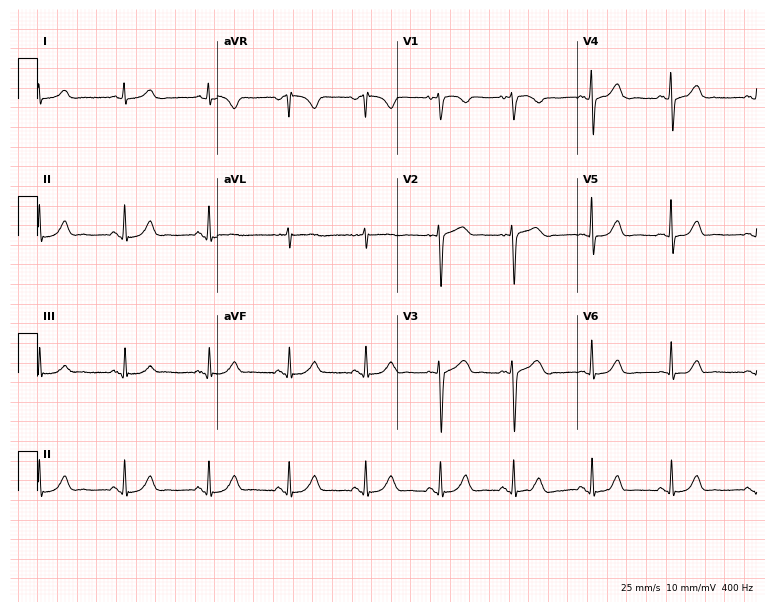
Standard 12-lead ECG recorded from a female, 53 years old. Read as a normal ECG.